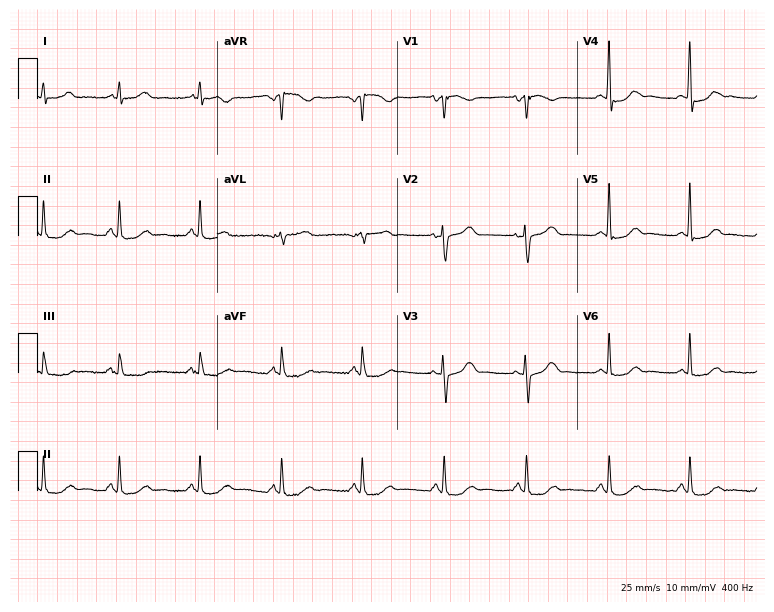
12-lead ECG from a woman, 52 years old (7.3-second recording at 400 Hz). No first-degree AV block, right bundle branch block (RBBB), left bundle branch block (LBBB), sinus bradycardia, atrial fibrillation (AF) or sinus tachycardia recorded for this tracing. Other findings, if any, are not listed.